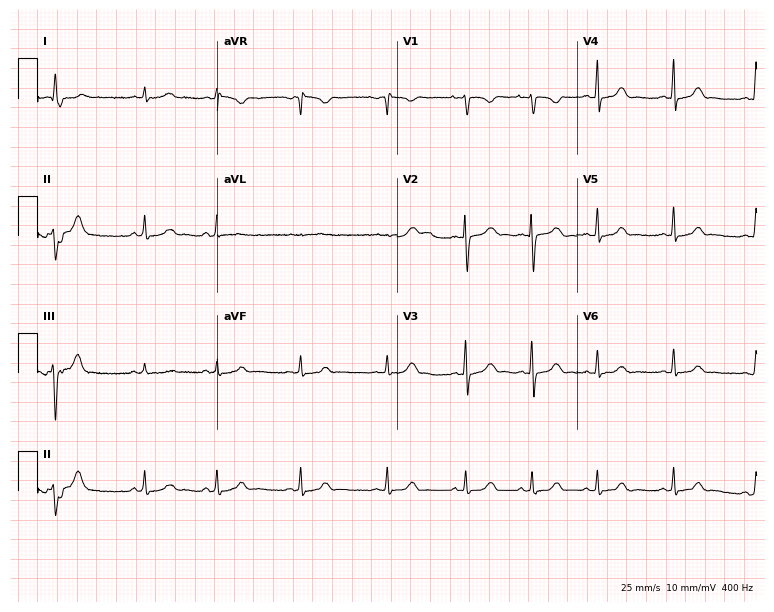
Resting 12-lead electrocardiogram (7.3-second recording at 400 Hz). Patient: a 25-year-old woman. Read as a normal ECG.